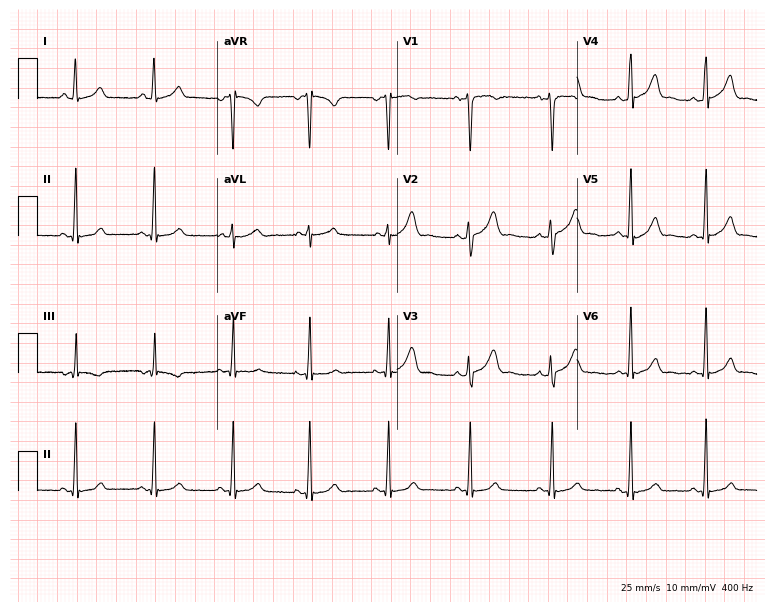
Electrocardiogram (7.3-second recording at 400 Hz), a 21-year-old woman. Overall reading on record: normal ECG.